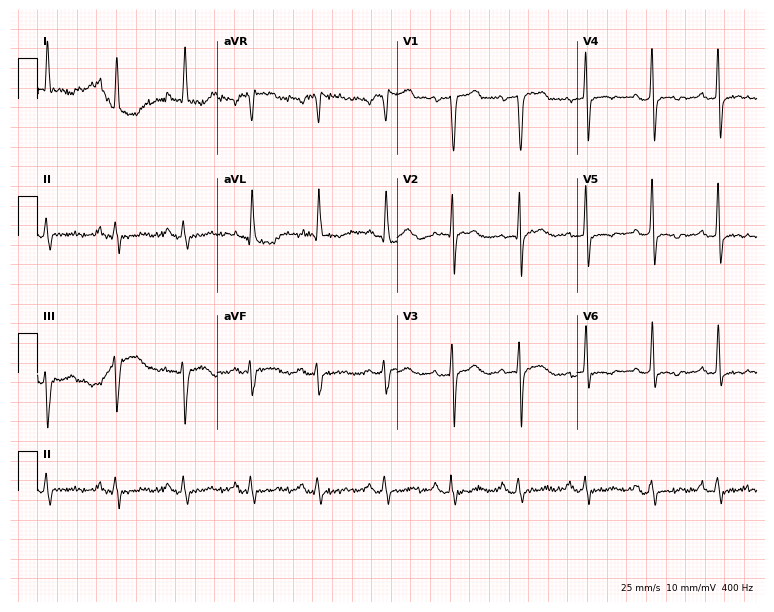
12-lead ECG from a man, 71 years old. Screened for six findings — first-degree AV block, right bundle branch block, left bundle branch block, sinus bradycardia, atrial fibrillation, sinus tachycardia — none is recorded.